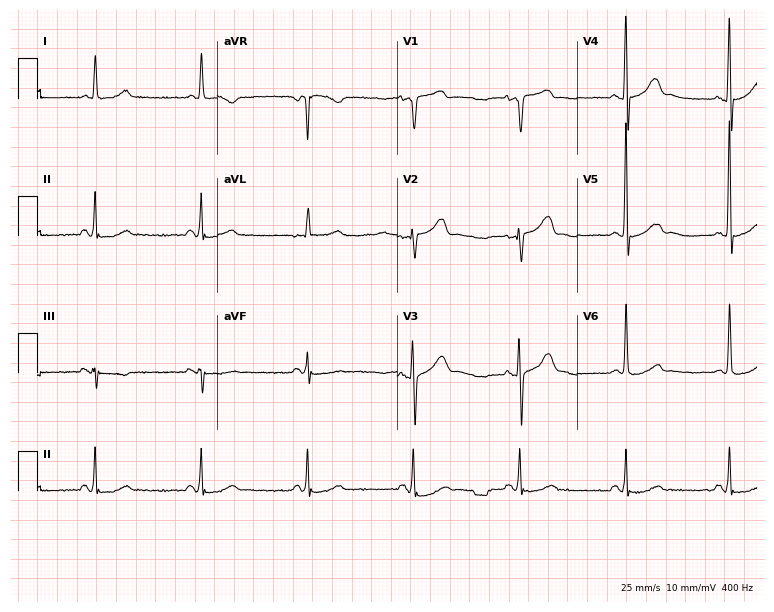
Standard 12-lead ECG recorded from a 66-year-old male (7.3-second recording at 400 Hz). None of these six findings is recorded: first-degree AV block, right bundle branch block (RBBB), left bundle branch block (LBBB), sinus bradycardia, atrial fibrillation (AF), sinus tachycardia.